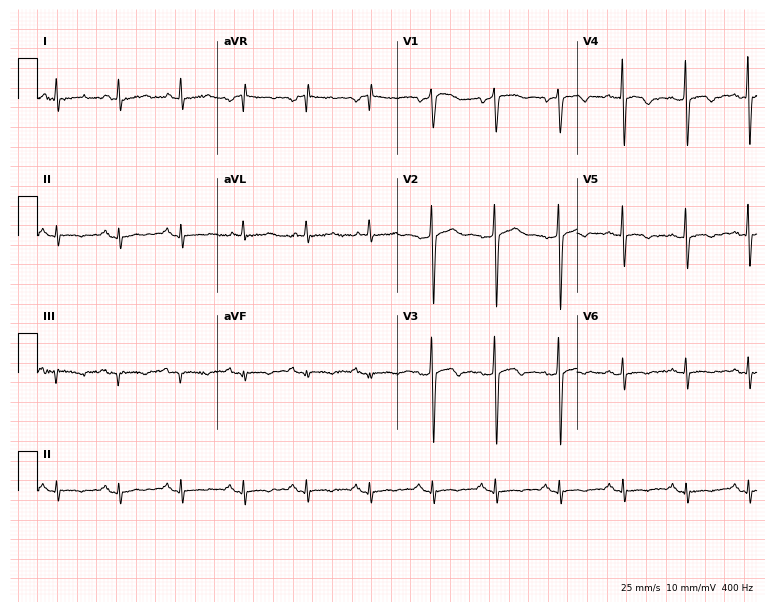
Resting 12-lead electrocardiogram (7.3-second recording at 400 Hz). Patient: a woman, 48 years old. None of these six findings is recorded: first-degree AV block, right bundle branch block (RBBB), left bundle branch block (LBBB), sinus bradycardia, atrial fibrillation (AF), sinus tachycardia. Other findings, if any, are not listed.